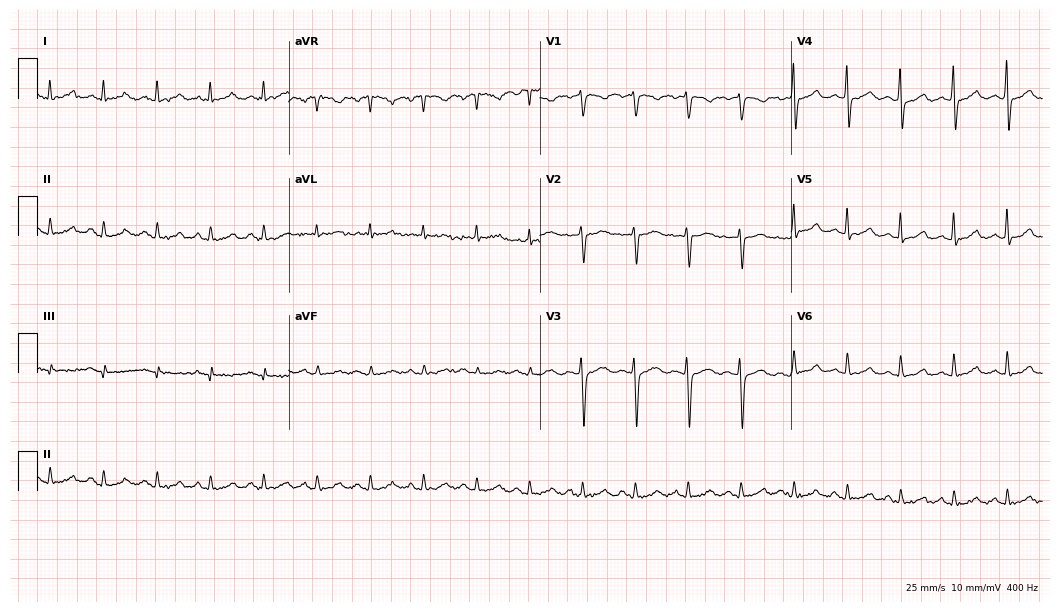
Standard 12-lead ECG recorded from a female patient, 50 years old. The tracing shows sinus tachycardia (a sinus rate of 100 beats per minute or more).